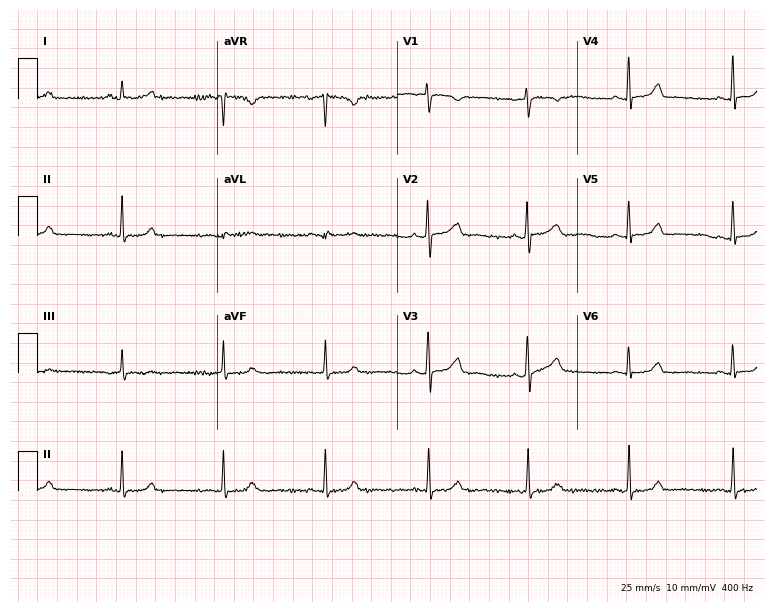
12-lead ECG from a woman, 45 years old. Labelled as a normal ECG.